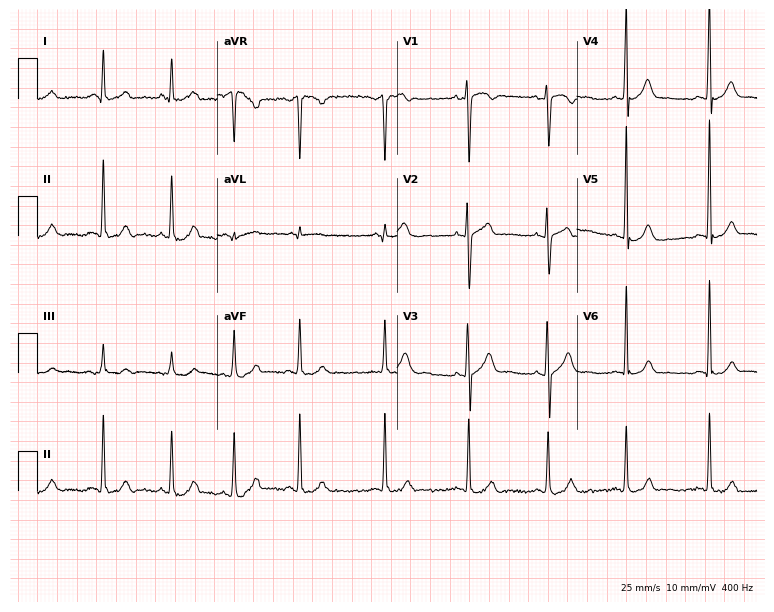
Electrocardiogram (7.3-second recording at 400 Hz), a woman, 26 years old. Of the six screened findings (first-degree AV block, right bundle branch block, left bundle branch block, sinus bradycardia, atrial fibrillation, sinus tachycardia), none is recorded.